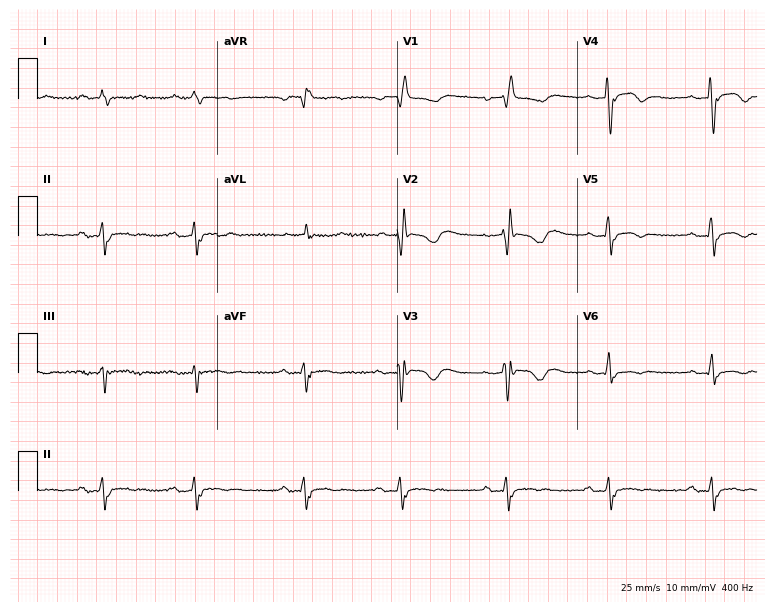
ECG — a 75-year-old woman. Screened for six findings — first-degree AV block, right bundle branch block, left bundle branch block, sinus bradycardia, atrial fibrillation, sinus tachycardia — none is recorded.